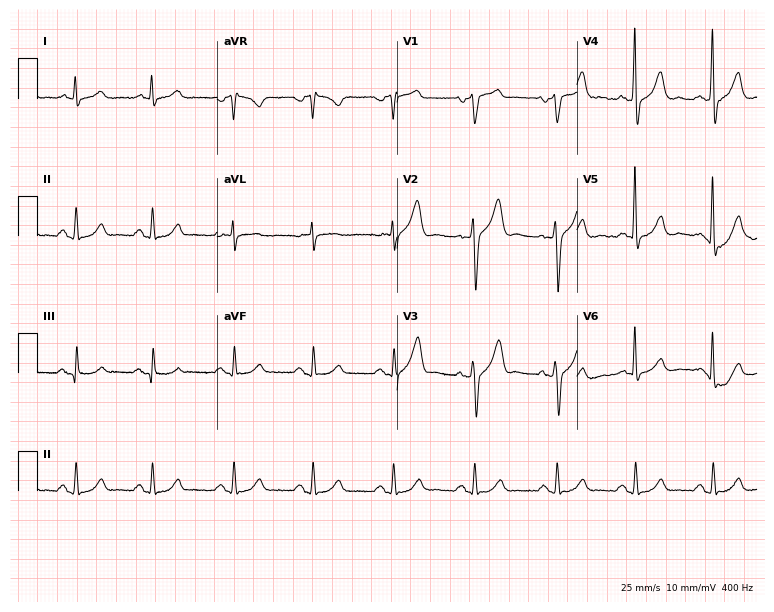
12-lead ECG (7.3-second recording at 400 Hz) from a man, 64 years old. Labelled as a normal ECG.